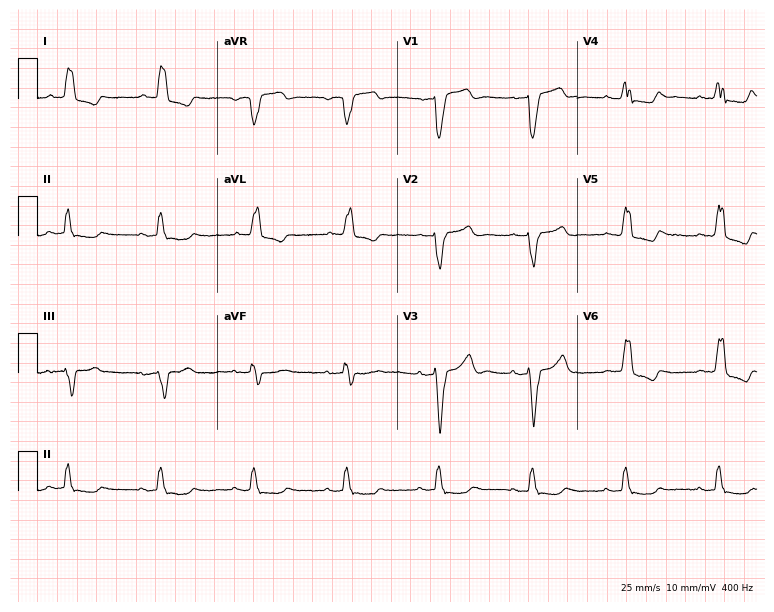
Electrocardiogram, a 79-year-old man. Interpretation includes left bundle branch block.